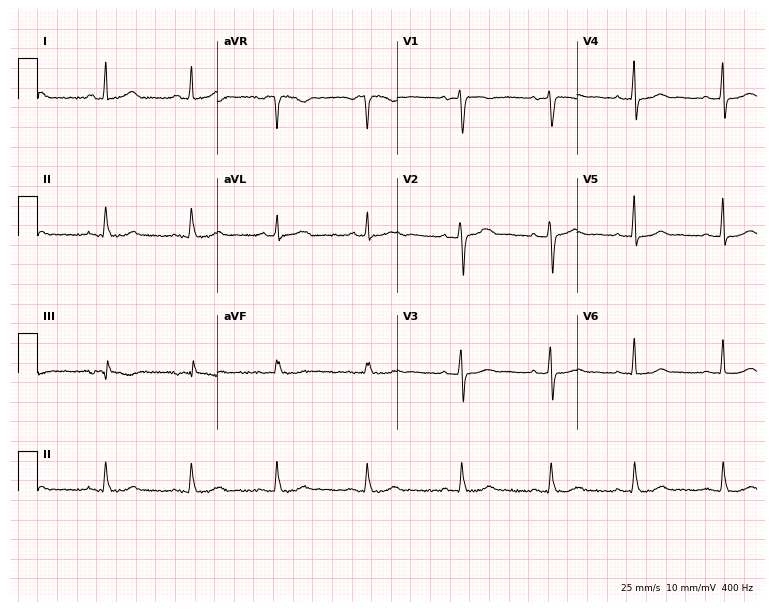
ECG (7.3-second recording at 400 Hz) — a woman, 44 years old. Labelled as a normal ECG.